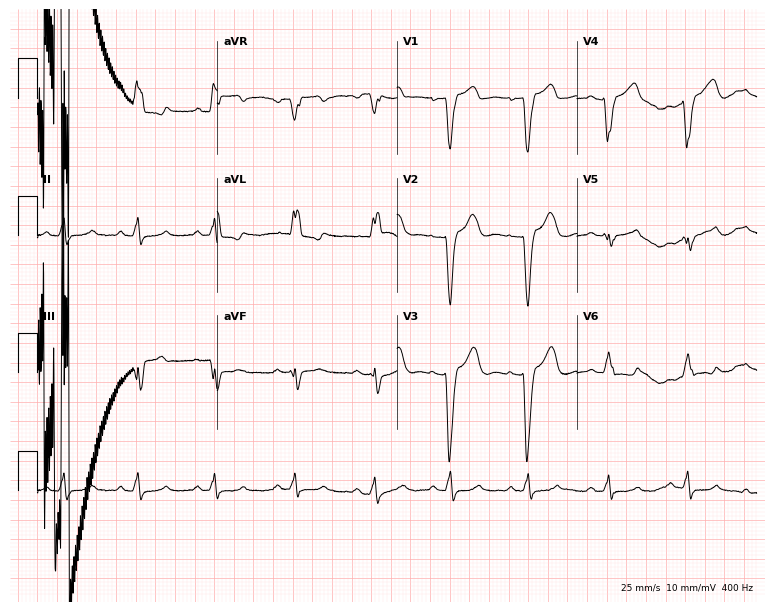
12-lead ECG (7.3-second recording at 400 Hz) from a 51-year-old female. Findings include left bundle branch block.